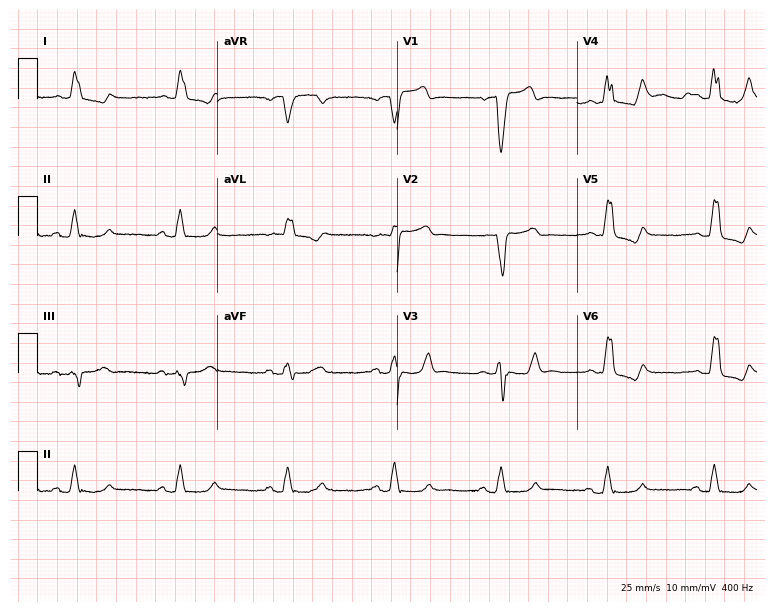
12-lead ECG (7.3-second recording at 400 Hz) from an 84-year-old man. Findings include left bundle branch block.